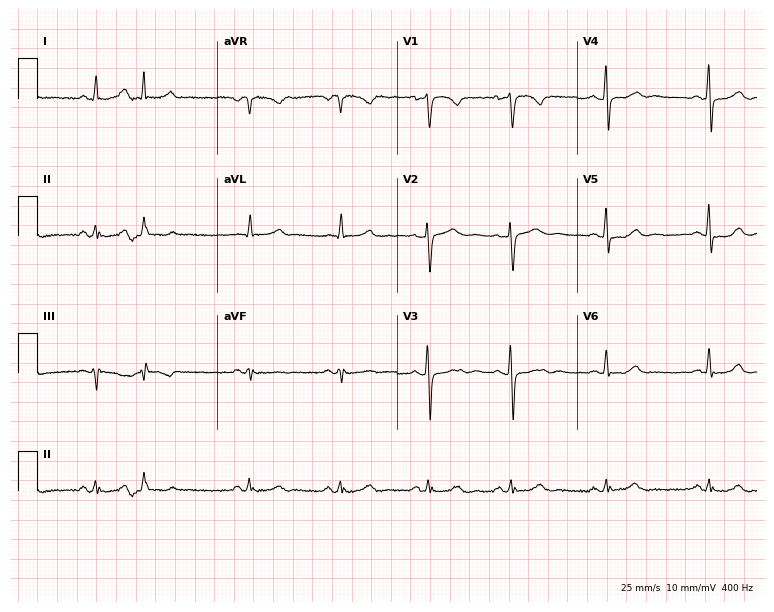
12-lead ECG from a 51-year-old female patient. Screened for six findings — first-degree AV block, right bundle branch block, left bundle branch block, sinus bradycardia, atrial fibrillation, sinus tachycardia — none is recorded. Findings outside these six are not listed.